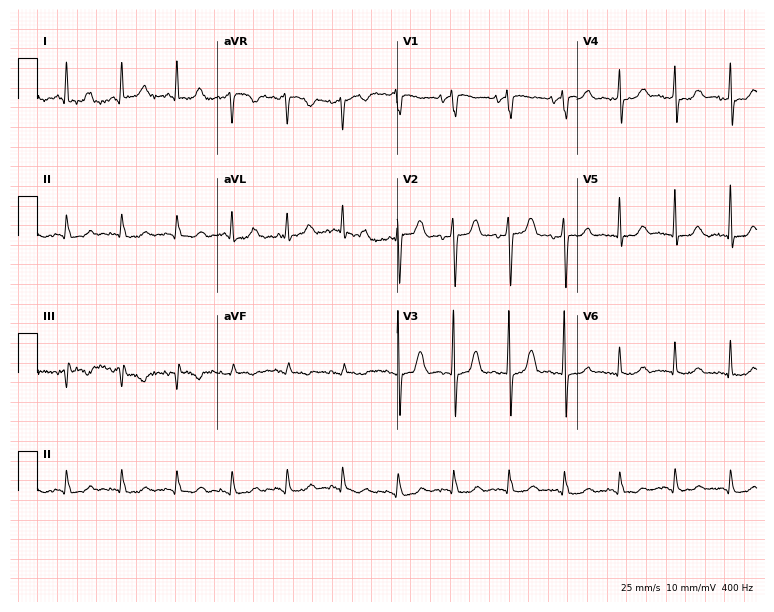
ECG — a 69-year-old female patient. Findings include sinus tachycardia (a sinus rate of 100 beats per minute or more).